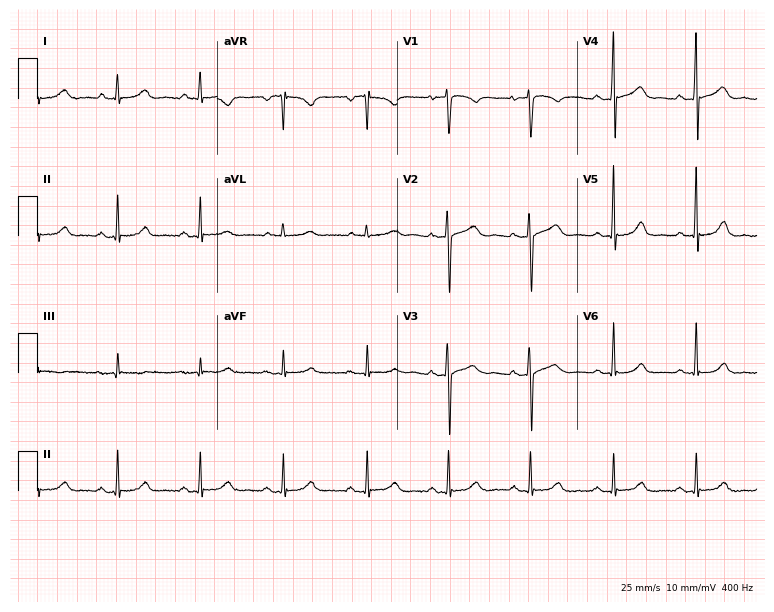
Resting 12-lead electrocardiogram (7.3-second recording at 400 Hz). Patient: a woman, 55 years old. None of these six findings is recorded: first-degree AV block, right bundle branch block, left bundle branch block, sinus bradycardia, atrial fibrillation, sinus tachycardia.